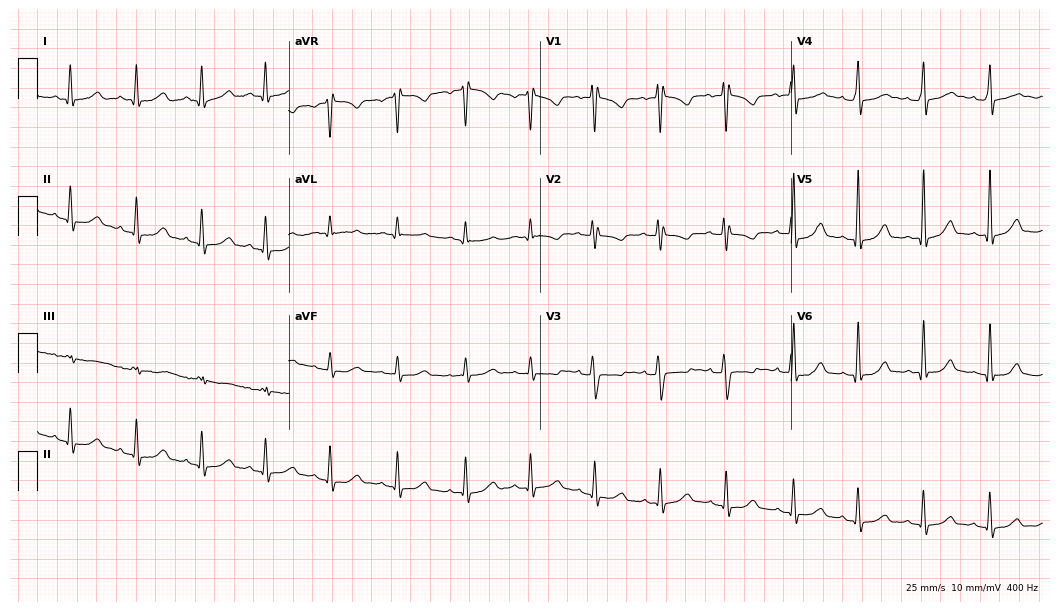
Electrocardiogram, a female patient, 19 years old. Of the six screened findings (first-degree AV block, right bundle branch block (RBBB), left bundle branch block (LBBB), sinus bradycardia, atrial fibrillation (AF), sinus tachycardia), none is recorded.